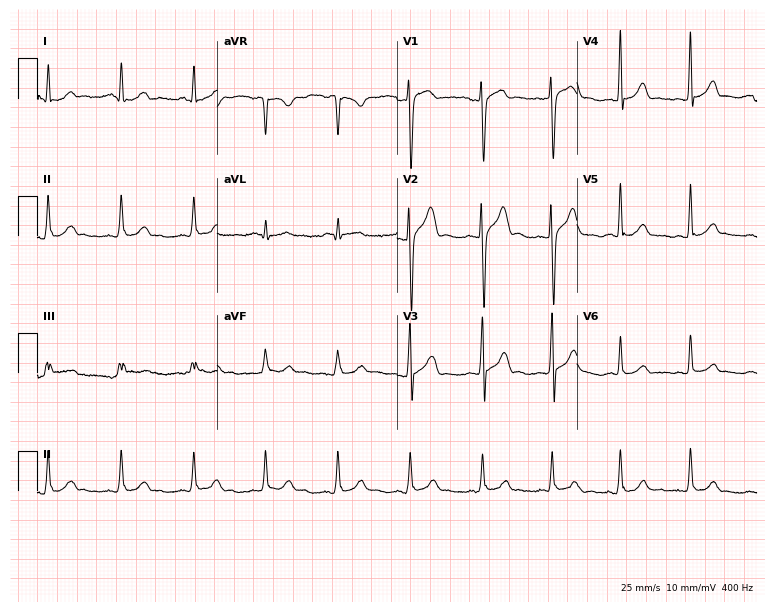
ECG — a 39-year-old man. Labelled as a normal ECG.